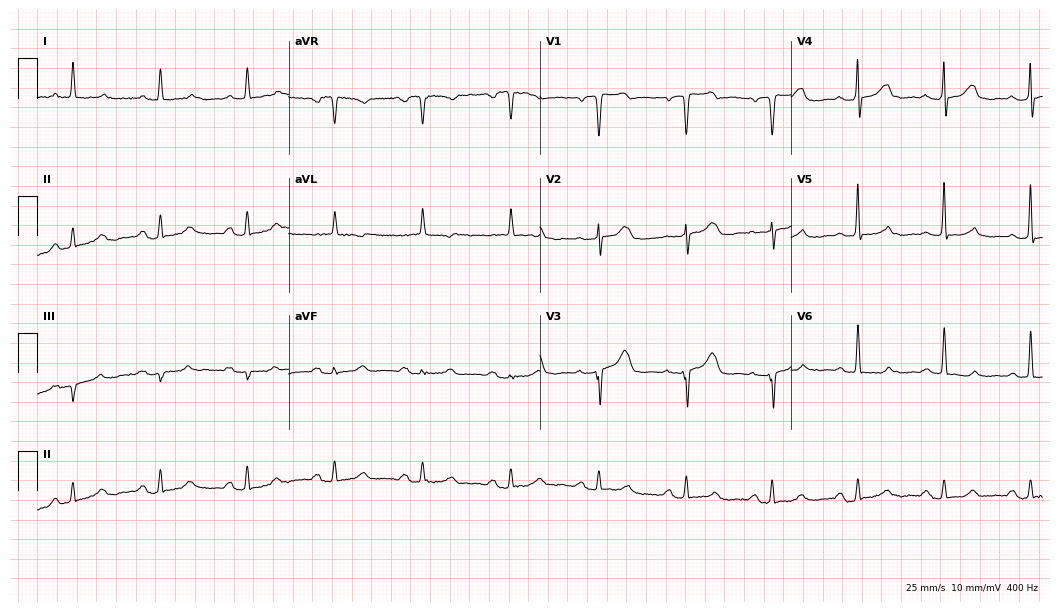
Electrocardiogram (10.2-second recording at 400 Hz), a female patient, 69 years old. Overall reading on record: normal ECG.